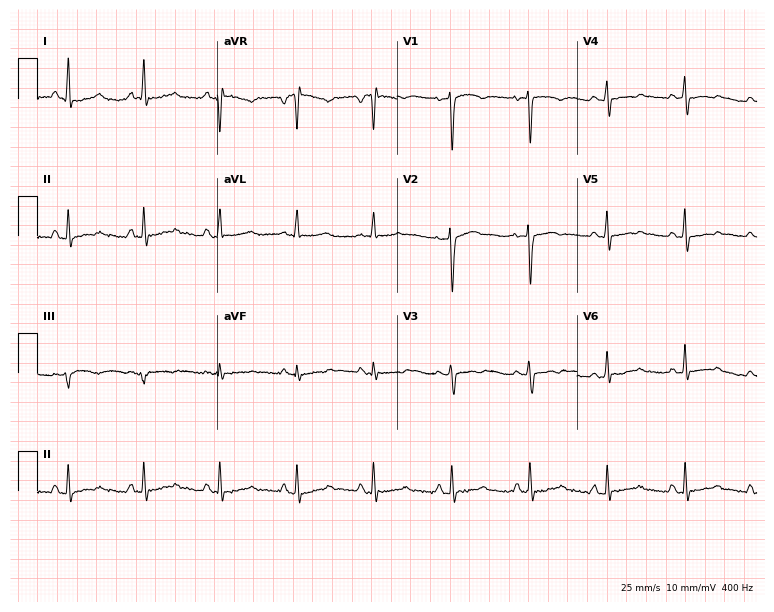
12-lead ECG from a 57-year-old female. No first-degree AV block, right bundle branch block, left bundle branch block, sinus bradycardia, atrial fibrillation or sinus tachycardia recorded for this tracing.